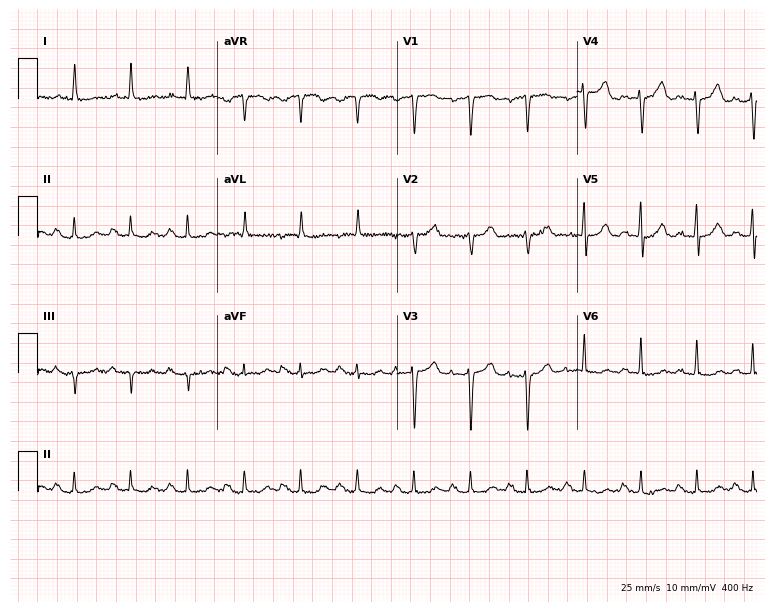
Resting 12-lead electrocardiogram (7.3-second recording at 400 Hz). Patient: a 78-year-old female. The tracing shows sinus tachycardia (a sinus rate of 100 beats per minute or more).